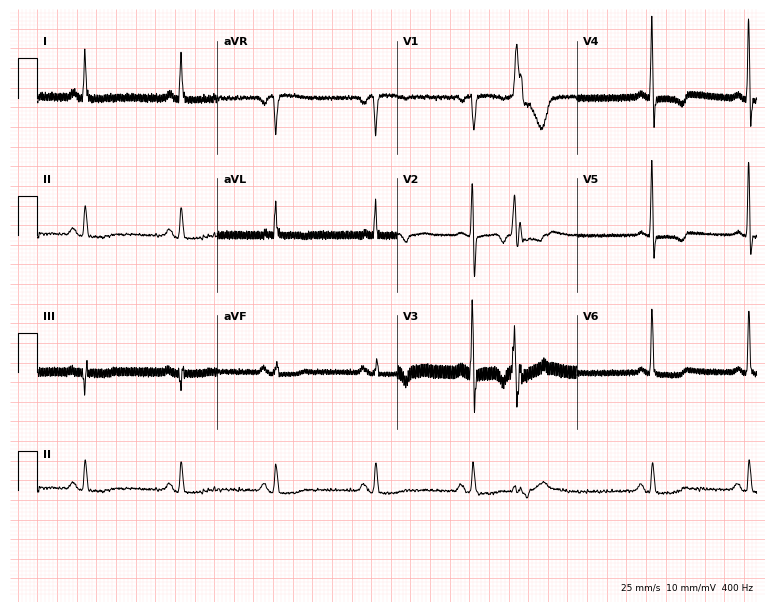
Resting 12-lead electrocardiogram. Patient: a 68-year-old woman. None of these six findings is recorded: first-degree AV block, right bundle branch block, left bundle branch block, sinus bradycardia, atrial fibrillation, sinus tachycardia. Other findings, if any, are not listed.